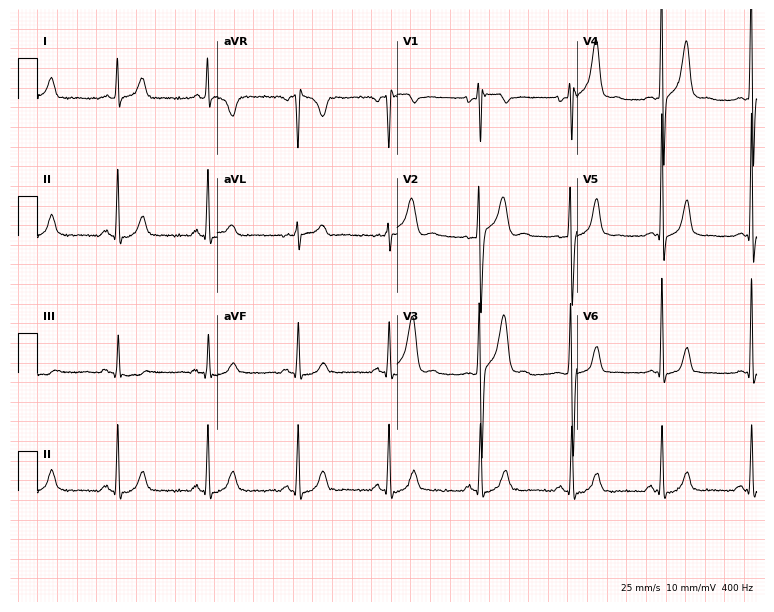
12-lead ECG (7.3-second recording at 400 Hz) from a 38-year-old male. Screened for six findings — first-degree AV block, right bundle branch block, left bundle branch block, sinus bradycardia, atrial fibrillation, sinus tachycardia — none is recorded. Findings outside these six are not listed.